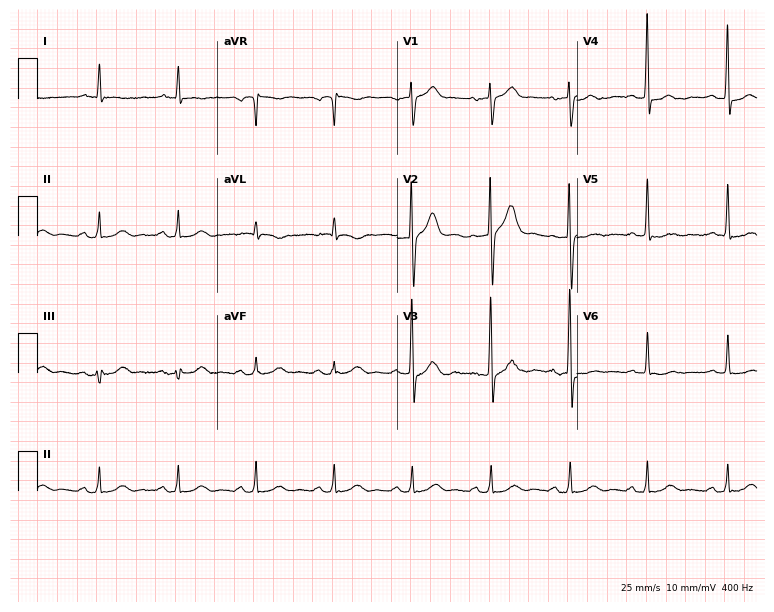
12-lead ECG from an 81-year-old male (7.3-second recording at 400 Hz). No first-degree AV block, right bundle branch block (RBBB), left bundle branch block (LBBB), sinus bradycardia, atrial fibrillation (AF) or sinus tachycardia recorded for this tracing. Findings outside these six are not listed.